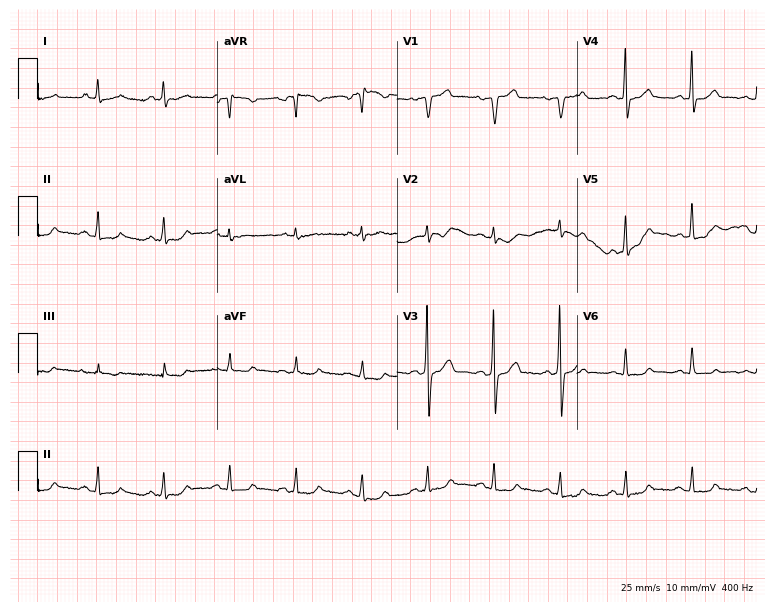
Standard 12-lead ECG recorded from a male patient, 71 years old (7.3-second recording at 400 Hz). None of these six findings is recorded: first-degree AV block, right bundle branch block (RBBB), left bundle branch block (LBBB), sinus bradycardia, atrial fibrillation (AF), sinus tachycardia. Findings outside these six are not listed.